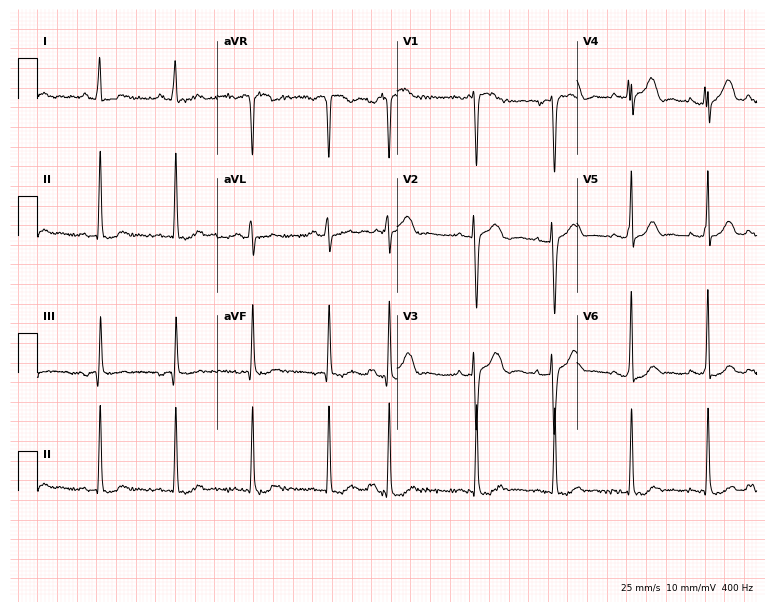
Standard 12-lead ECG recorded from a 77-year-old female (7.3-second recording at 400 Hz). None of these six findings is recorded: first-degree AV block, right bundle branch block, left bundle branch block, sinus bradycardia, atrial fibrillation, sinus tachycardia.